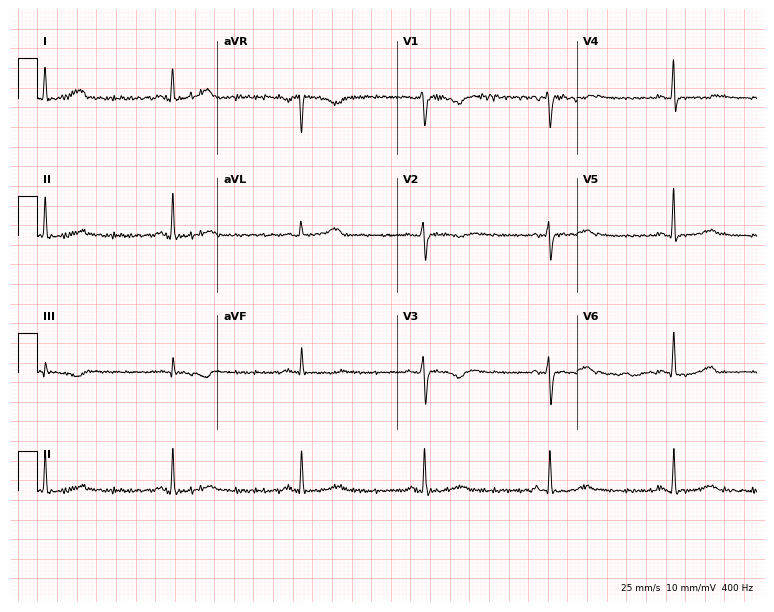
Resting 12-lead electrocardiogram. Patient: a woman, 39 years old. The tracing shows sinus bradycardia (a sinus rate of 50 beats per minute or less).